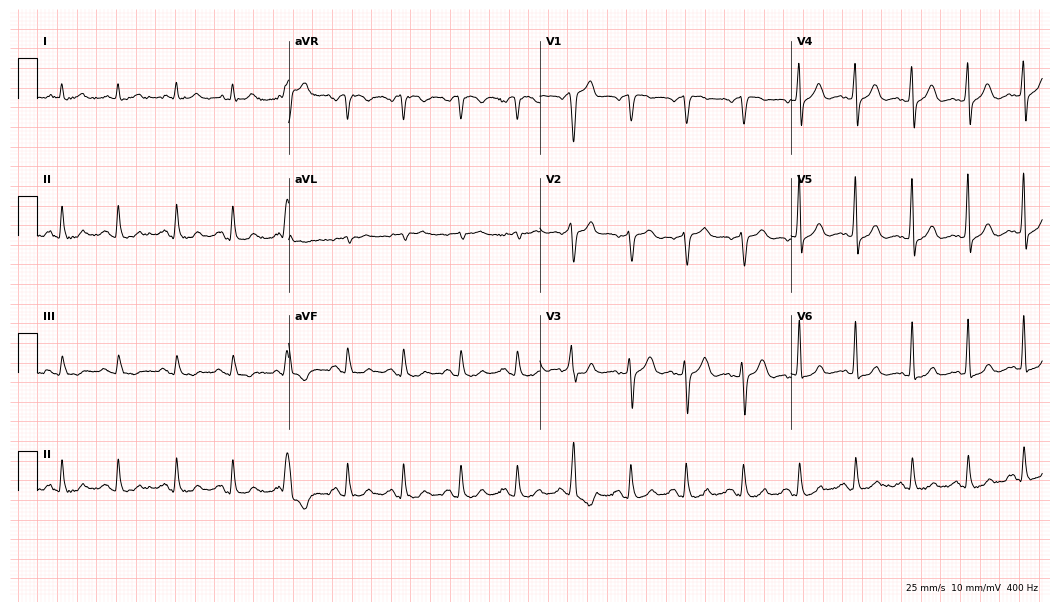
Resting 12-lead electrocardiogram (10.2-second recording at 400 Hz). Patient: a male, 72 years old. The tracing shows sinus tachycardia (a sinus rate of 100 beats per minute or more).